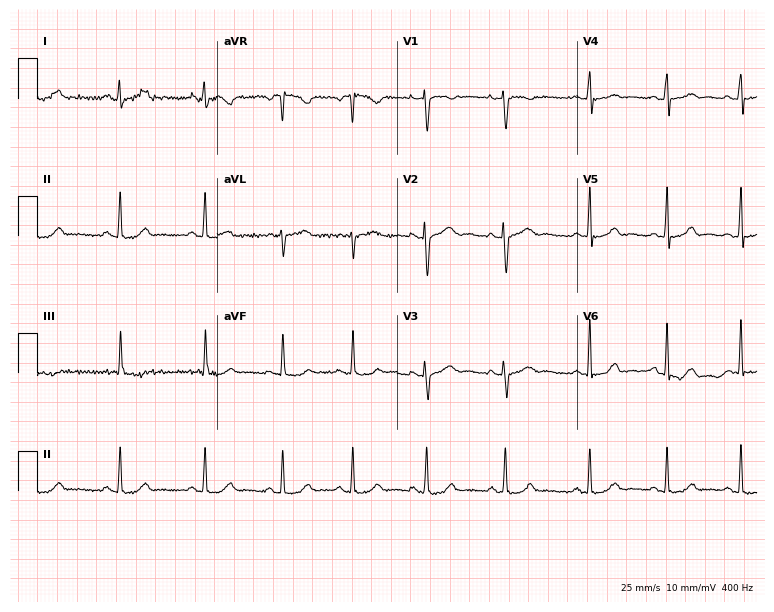
ECG — a female, 25 years old. Labelled as a normal ECG.